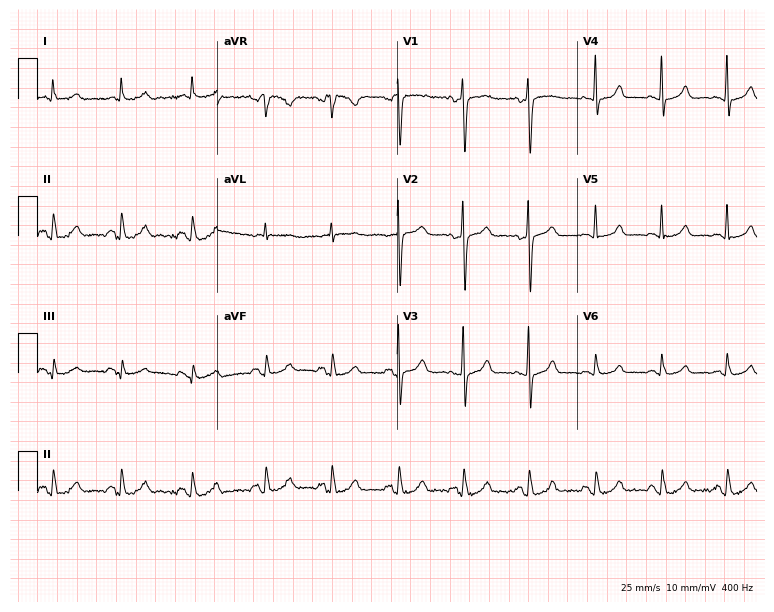
12-lead ECG (7.3-second recording at 400 Hz) from a female patient, 66 years old. Labelled as a normal ECG.